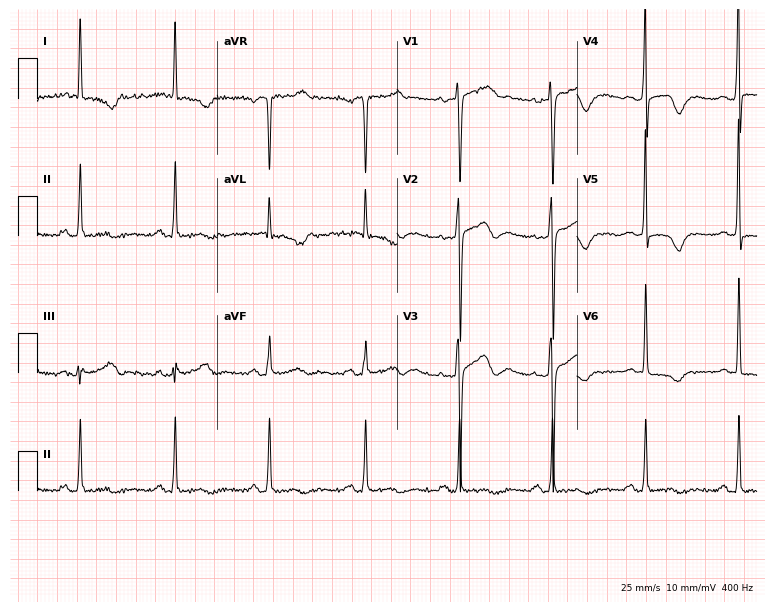
Resting 12-lead electrocardiogram (7.3-second recording at 400 Hz). Patient: a 71-year-old woman. None of these six findings is recorded: first-degree AV block, right bundle branch block, left bundle branch block, sinus bradycardia, atrial fibrillation, sinus tachycardia.